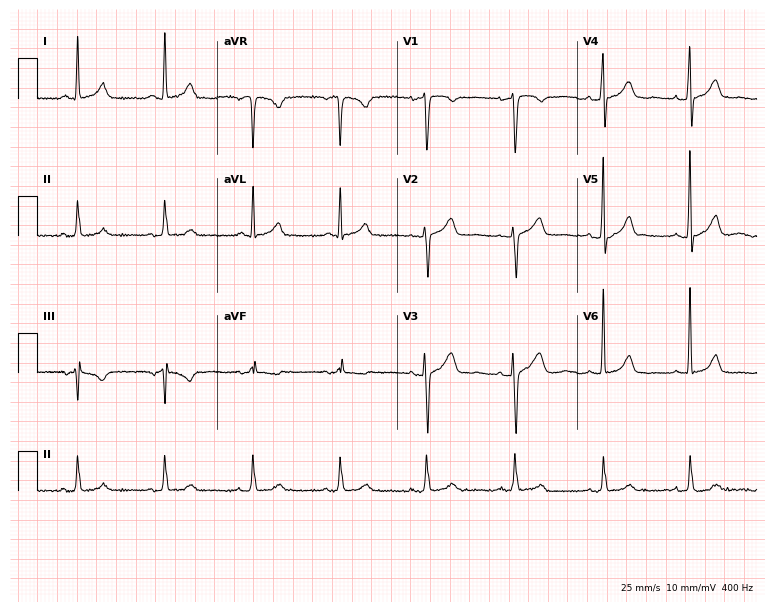
Standard 12-lead ECG recorded from a female, 54 years old (7.3-second recording at 400 Hz). None of these six findings is recorded: first-degree AV block, right bundle branch block (RBBB), left bundle branch block (LBBB), sinus bradycardia, atrial fibrillation (AF), sinus tachycardia.